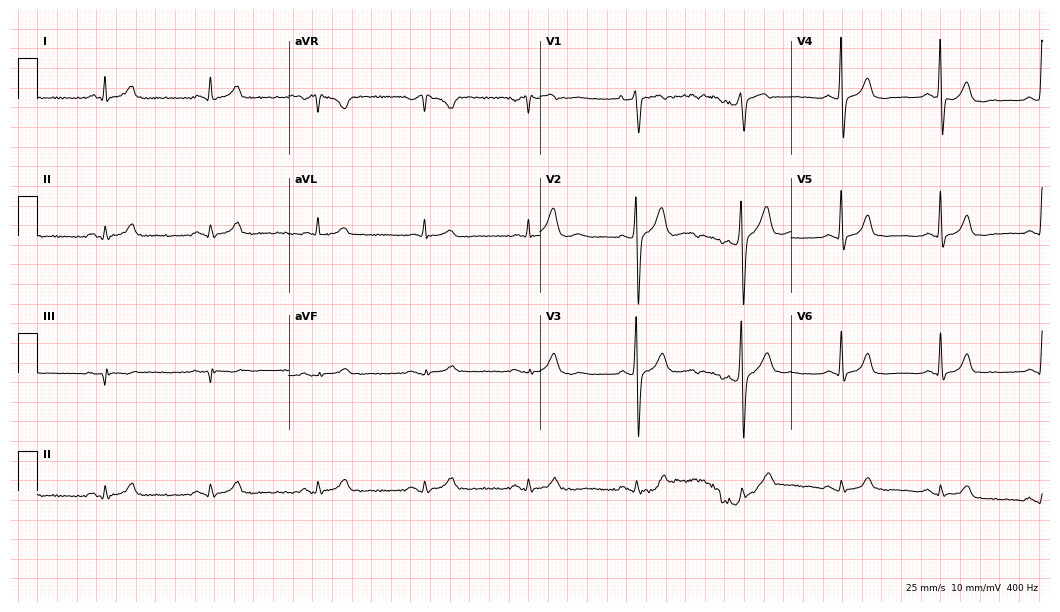
Resting 12-lead electrocardiogram. Patient: a male, 58 years old. Read as a normal ECG.